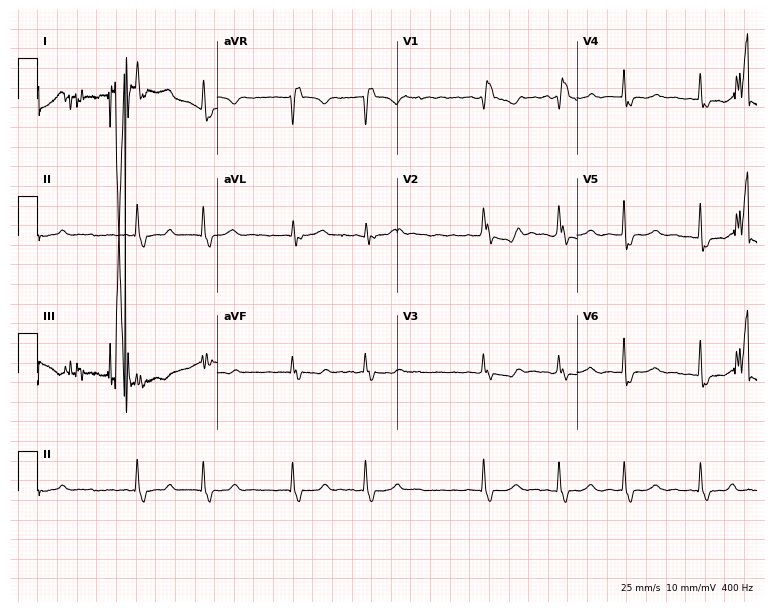
Standard 12-lead ECG recorded from a woman, 82 years old (7.3-second recording at 400 Hz). The tracing shows right bundle branch block (RBBB), atrial fibrillation (AF).